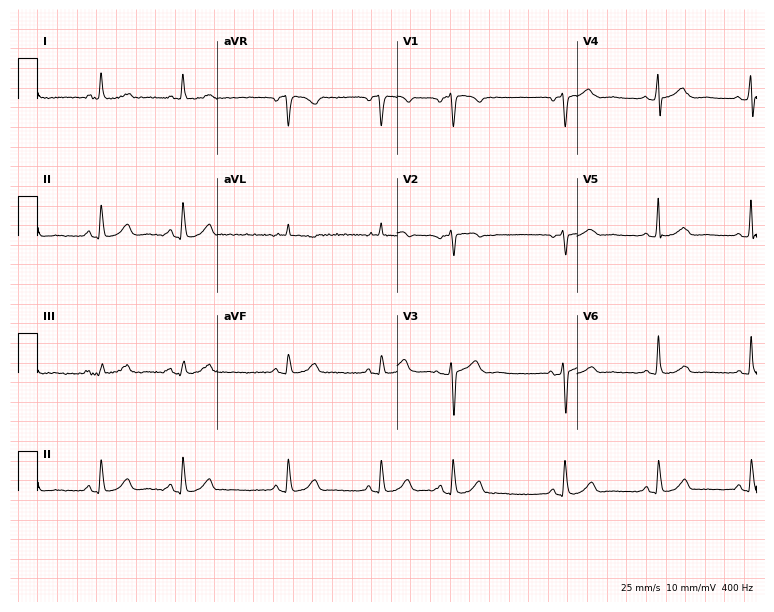
Resting 12-lead electrocardiogram (7.3-second recording at 400 Hz). Patient: a female, 52 years old. None of these six findings is recorded: first-degree AV block, right bundle branch block (RBBB), left bundle branch block (LBBB), sinus bradycardia, atrial fibrillation (AF), sinus tachycardia. Only these six findings were labelled.